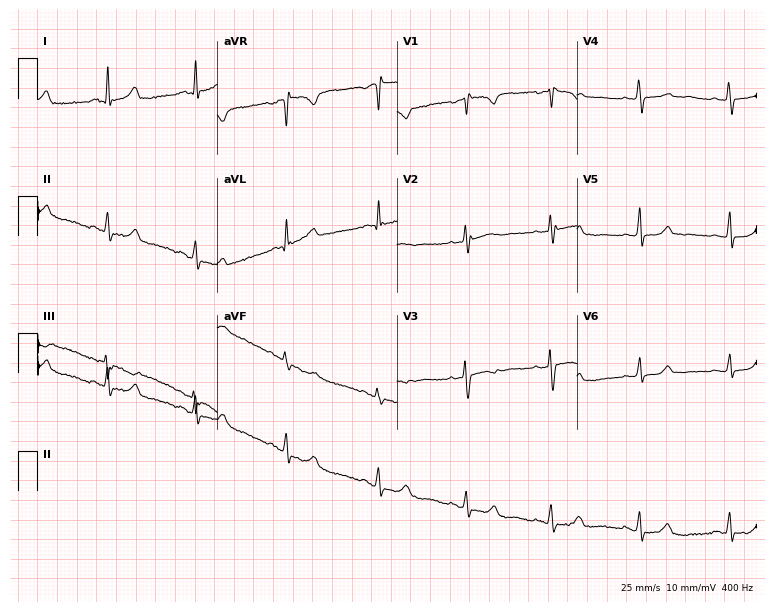
12-lead ECG from a 26-year-old man. Screened for six findings — first-degree AV block, right bundle branch block, left bundle branch block, sinus bradycardia, atrial fibrillation, sinus tachycardia — none is recorded. Only these six findings were labelled.